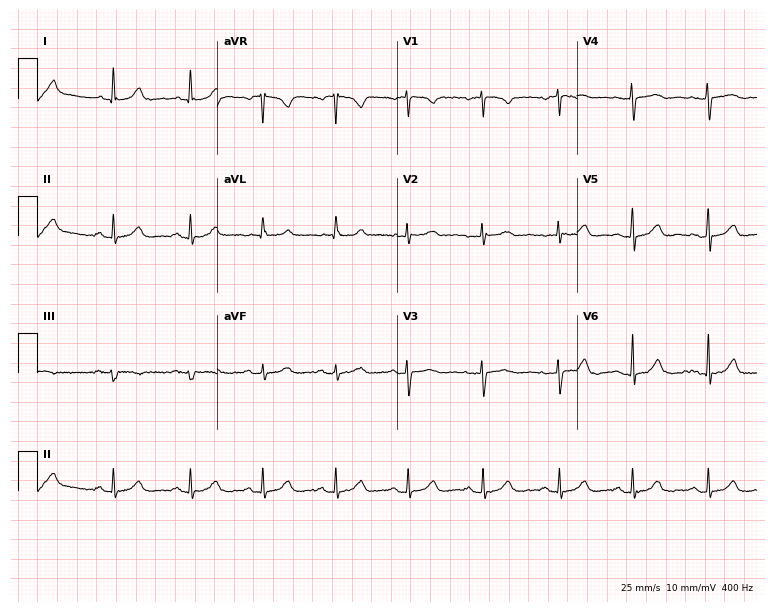
12-lead ECG from a 40-year-old female patient (7.3-second recording at 400 Hz). Recorded interpretation: within normal limits.